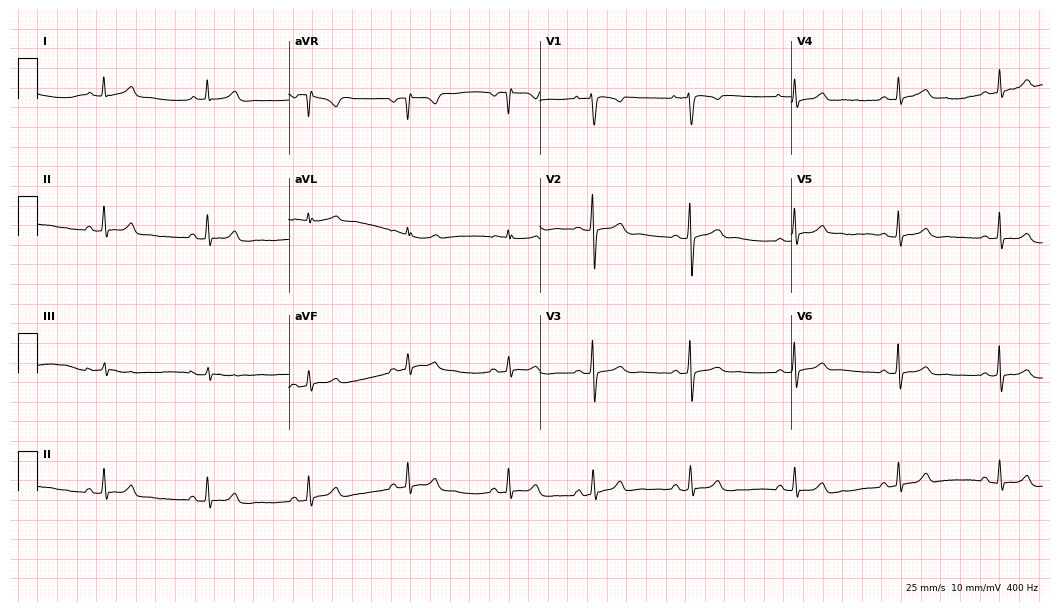
ECG — a 25-year-old female patient. Labelled as a normal ECG.